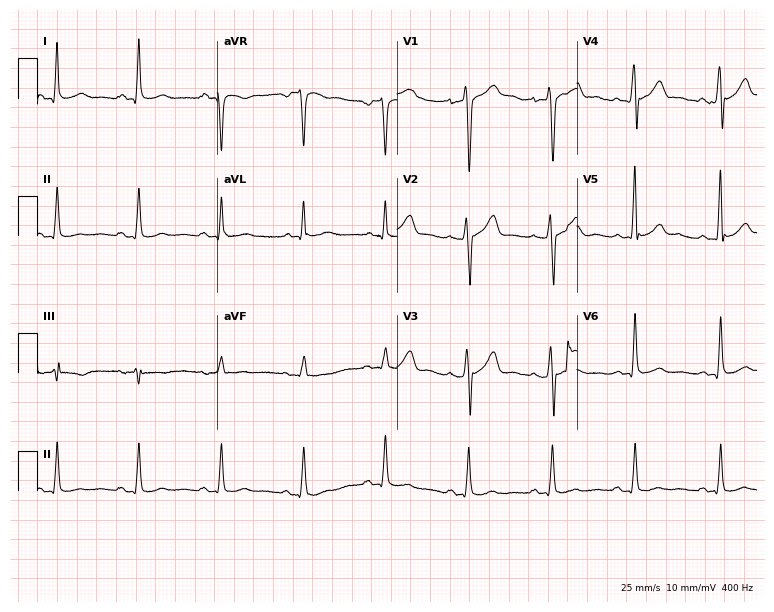
Resting 12-lead electrocardiogram (7.3-second recording at 400 Hz). Patient: a male, 30 years old. Read as a normal ECG.